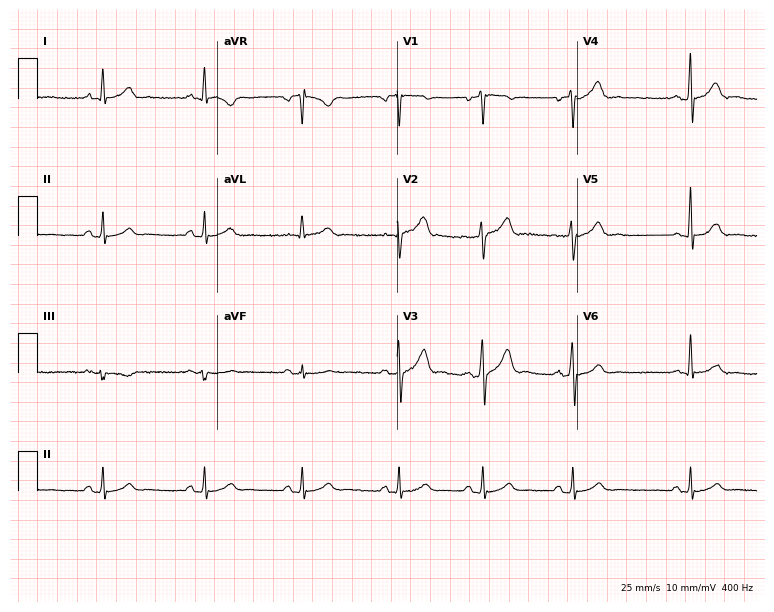
Electrocardiogram, a 34-year-old male. Of the six screened findings (first-degree AV block, right bundle branch block, left bundle branch block, sinus bradycardia, atrial fibrillation, sinus tachycardia), none is recorded. Only these six findings were labelled.